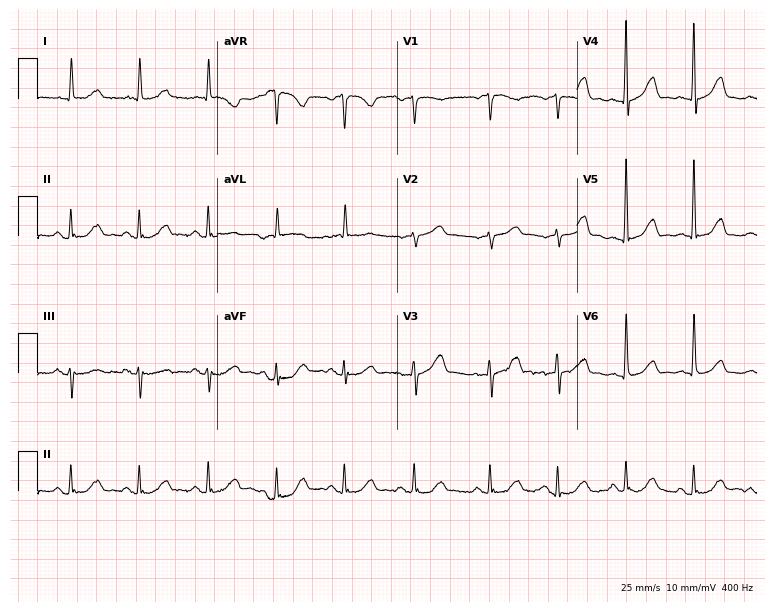
ECG (7.3-second recording at 400 Hz) — a female, 76 years old. Labelled as a normal ECG.